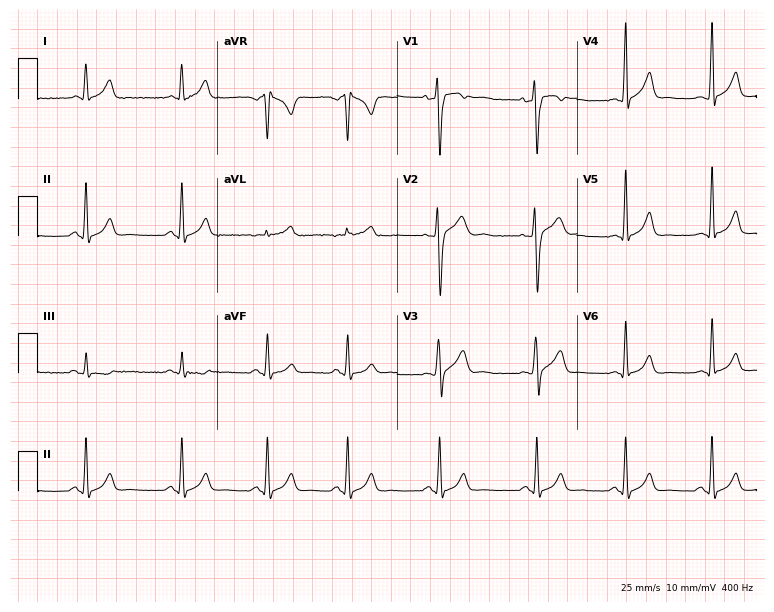
ECG (7.3-second recording at 400 Hz) — a 17-year-old male patient. Screened for six findings — first-degree AV block, right bundle branch block (RBBB), left bundle branch block (LBBB), sinus bradycardia, atrial fibrillation (AF), sinus tachycardia — none is recorded. Other findings, if any, are not listed.